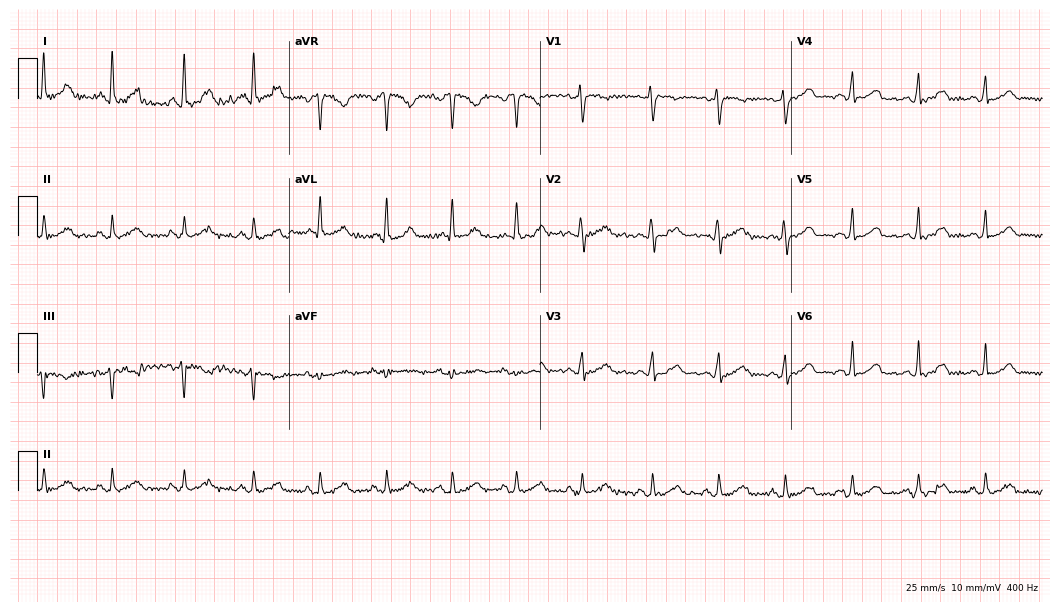
Electrocardiogram, a woman, 26 years old. Of the six screened findings (first-degree AV block, right bundle branch block, left bundle branch block, sinus bradycardia, atrial fibrillation, sinus tachycardia), none is recorded.